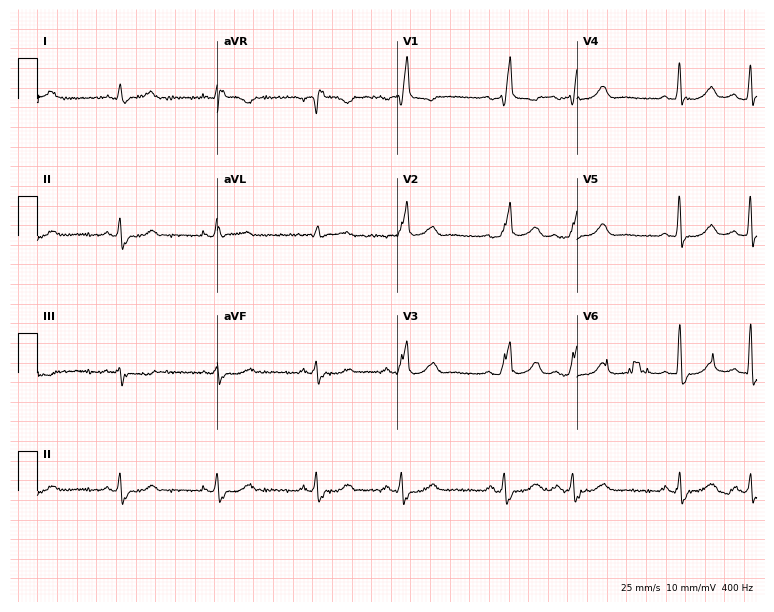
12-lead ECG from a male patient, 71 years old. Shows right bundle branch block.